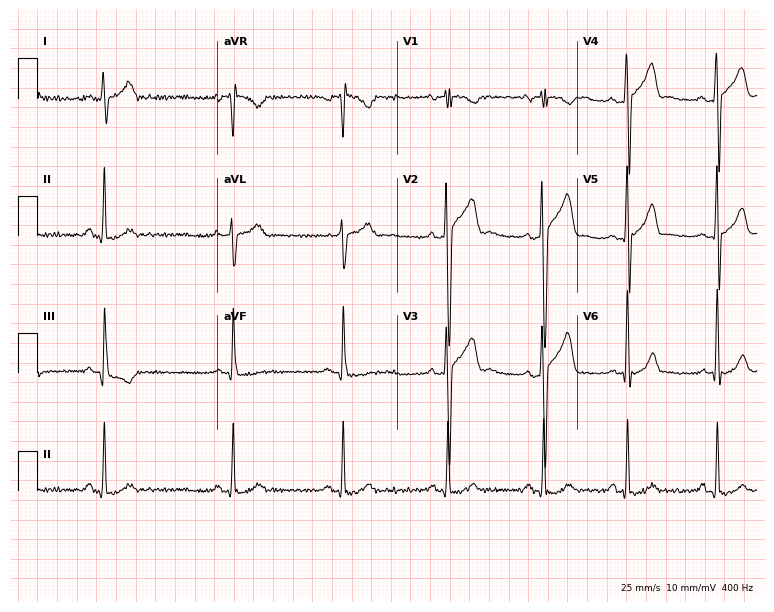
ECG (7.3-second recording at 400 Hz) — a 26-year-old male patient. Labelled as a normal ECG.